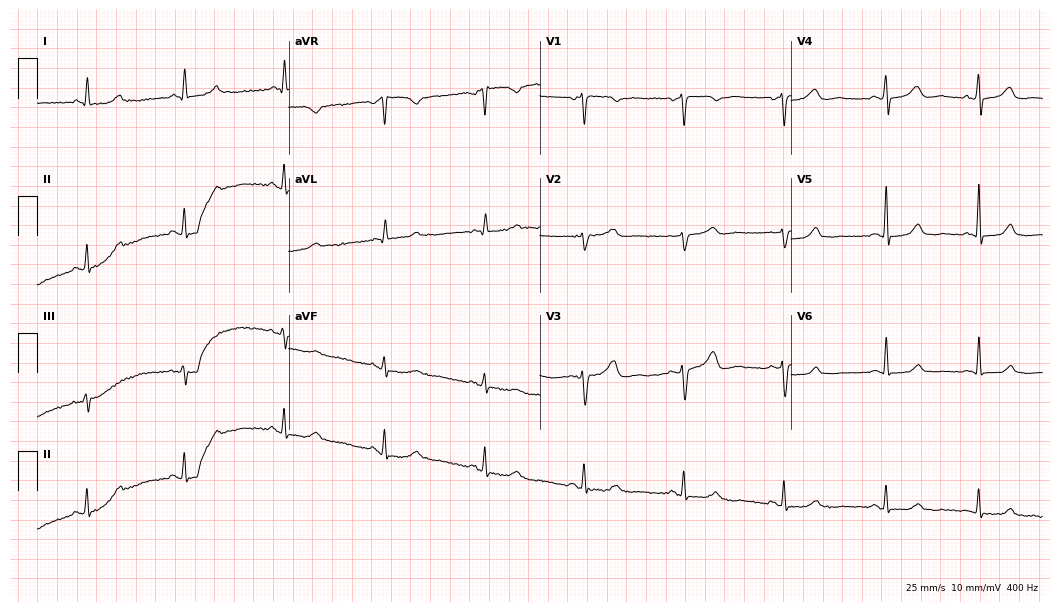
Standard 12-lead ECG recorded from a 63-year-old female. Read as a normal ECG.